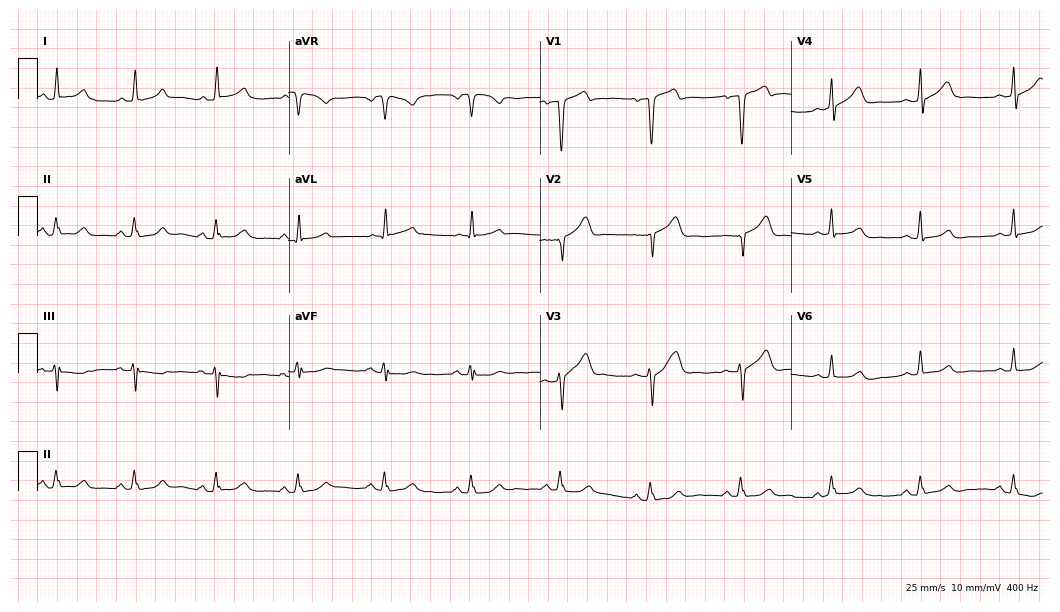
Standard 12-lead ECG recorded from a 52-year-old man (10.2-second recording at 400 Hz). None of these six findings is recorded: first-degree AV block, right bundle branch block, left bundle branch block, sinus bradycardia, atrial fibrillation, sinus tachycardia. Only these six findings were labelled.